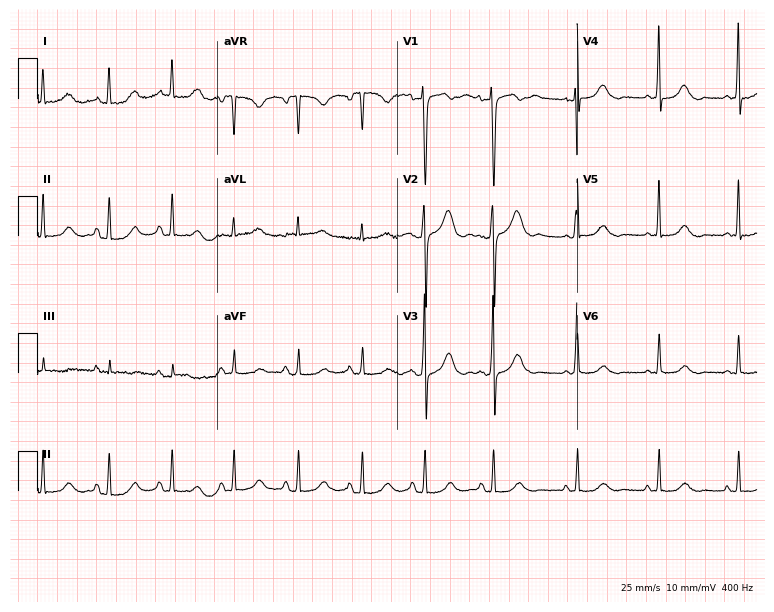
12-lead ECG from a 45-year-old female. Screened for six findings — first-degree AV block, right bundle branch block, left bundle branch block, sinus bradycardia, atrial fibrillation, sinus tachycardia — none is recorded.